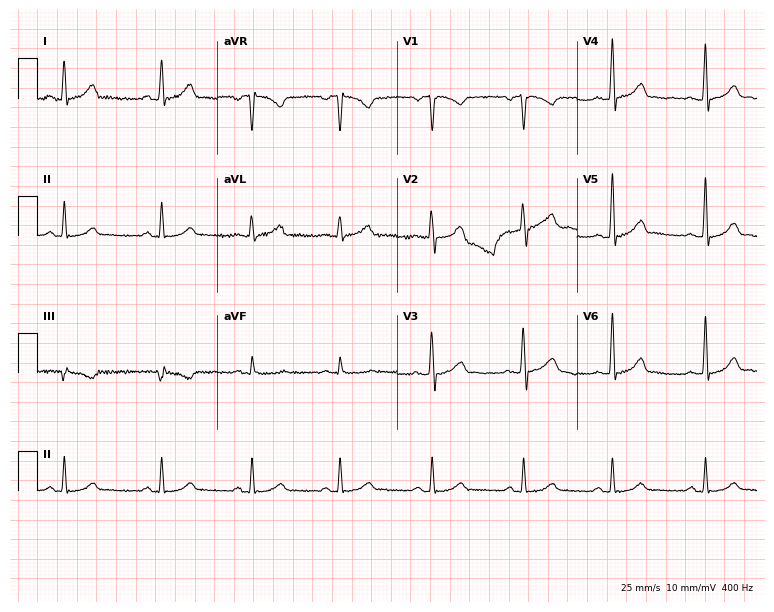
Resting 12-lead electrocardiogram (7.3-second recording at 400 Hz). Patient: a female, 35 years old. Read as a normal ECG.